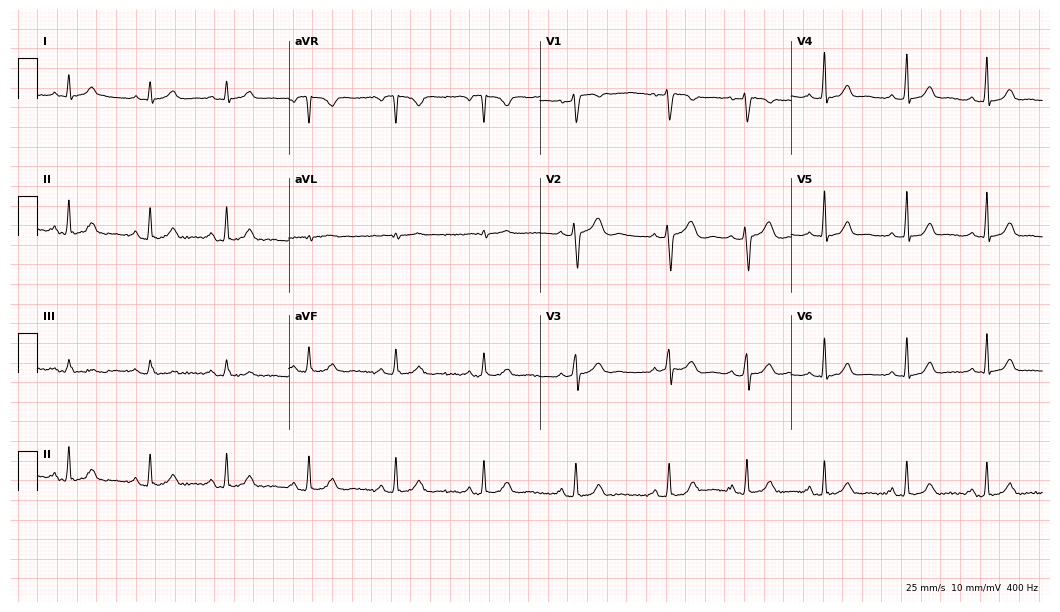
ECG — a female, 27 years old. Labelled as a normal ECG.